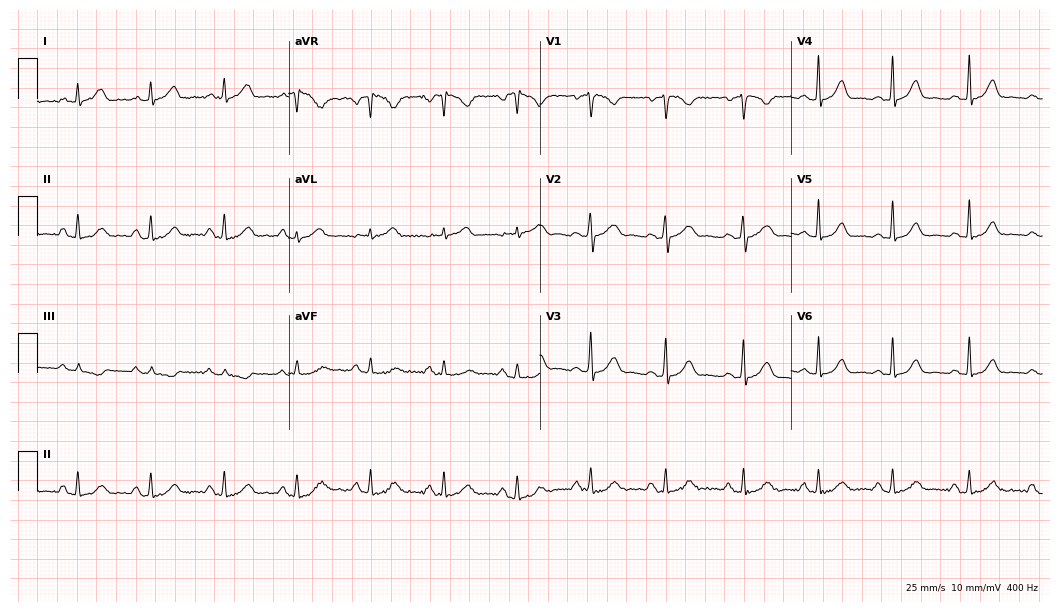
12-lead ECG from a woman, 36 years old (10.2-second recording at 400 Hz). Recorded interpretation: within normal limits.